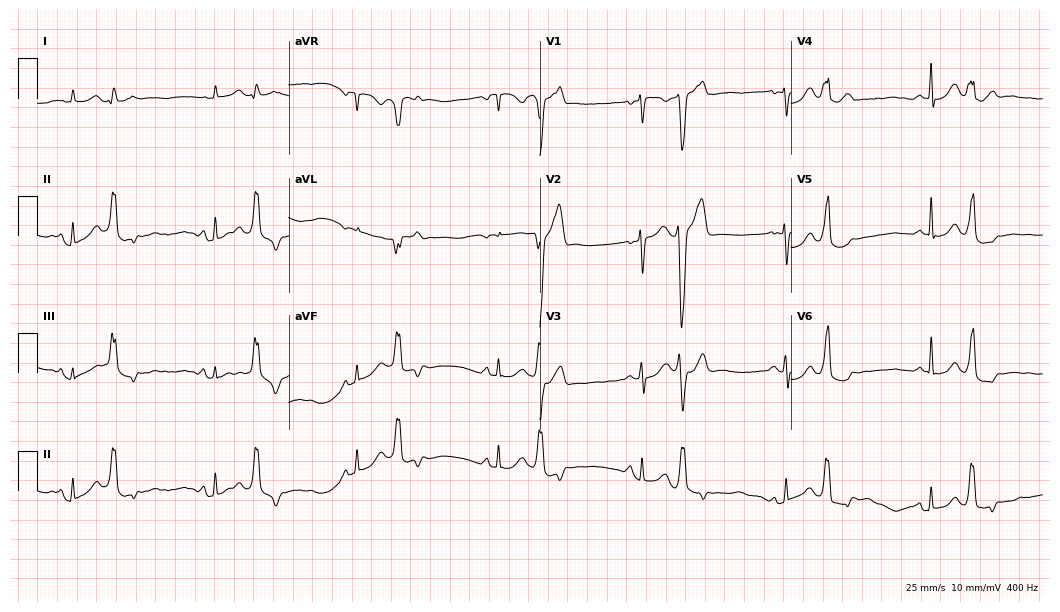
Standard 12-lead ECG recorded from a woman, 63 years old (10.2-second recording at 400 Hz). None of these six findings is recorded: first-degree AV block, right bundle branch block, left bundle branch block, sinus bradycardia, atrial fibrillation, sinus tachycardia. Findings outside these six are not listed.